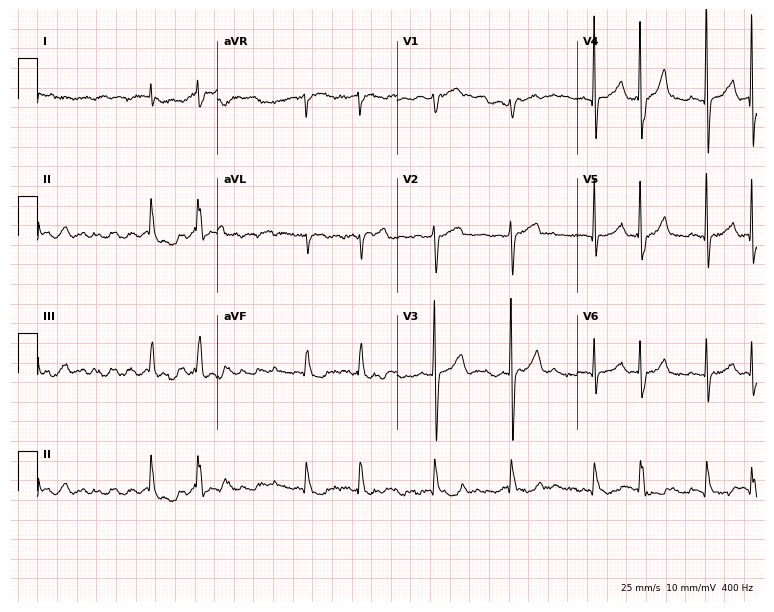
12-lead ECG from a man, 76 years old (7.3-second recording at 400 Hz). Shows atrial fibrillation.